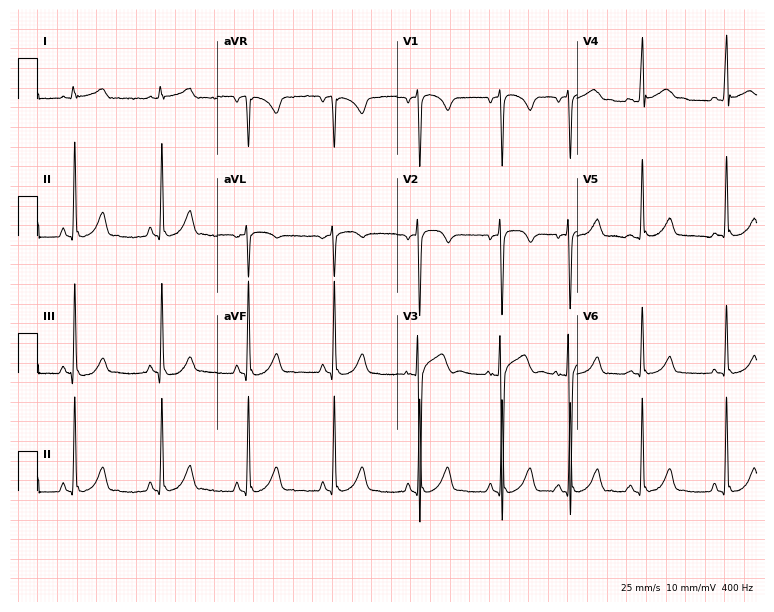
12-lead ECG from a 17-year-old male patient (7.3-second recording at 400 Hz). Recorded interpretation: within normal limits.